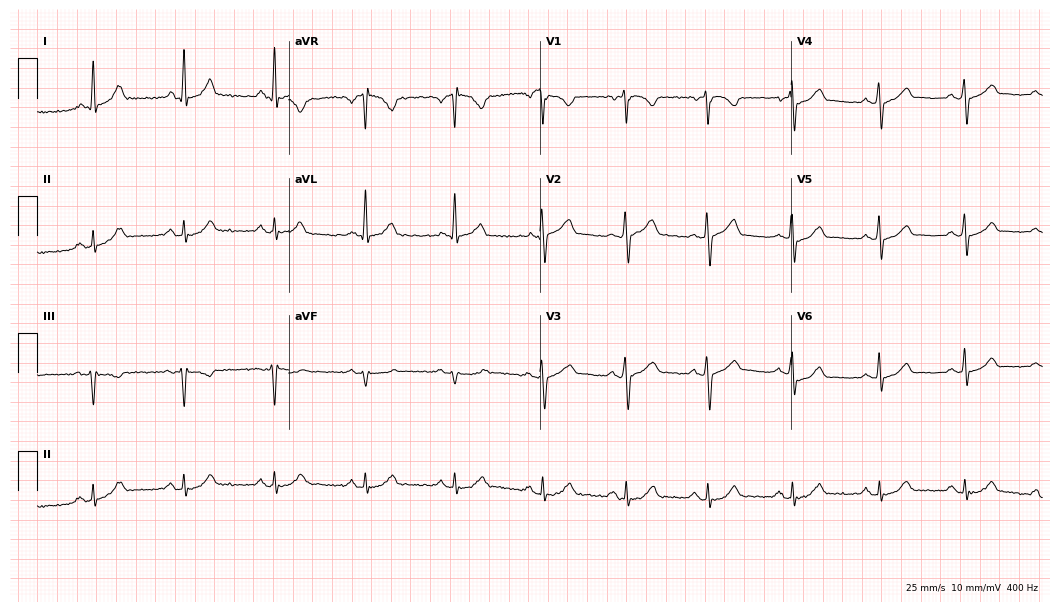
Standard 12-lead ECG recorded from a 46-year-old male (10.2-second recording at 400 Hz). Read as a normal ECG.